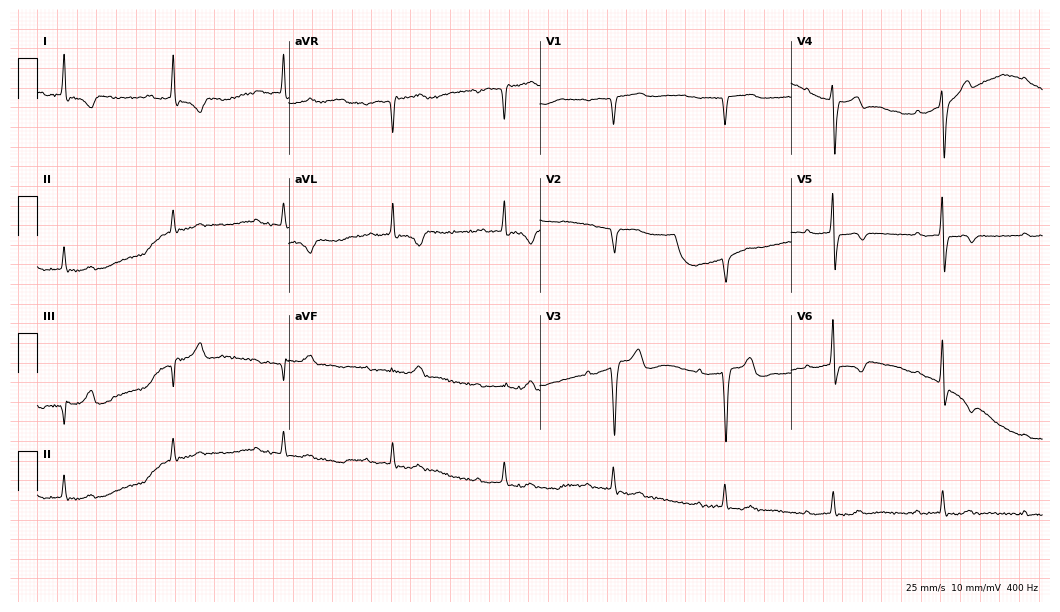
ECG — an 83-year-old male. Findings include first-degree AV block.